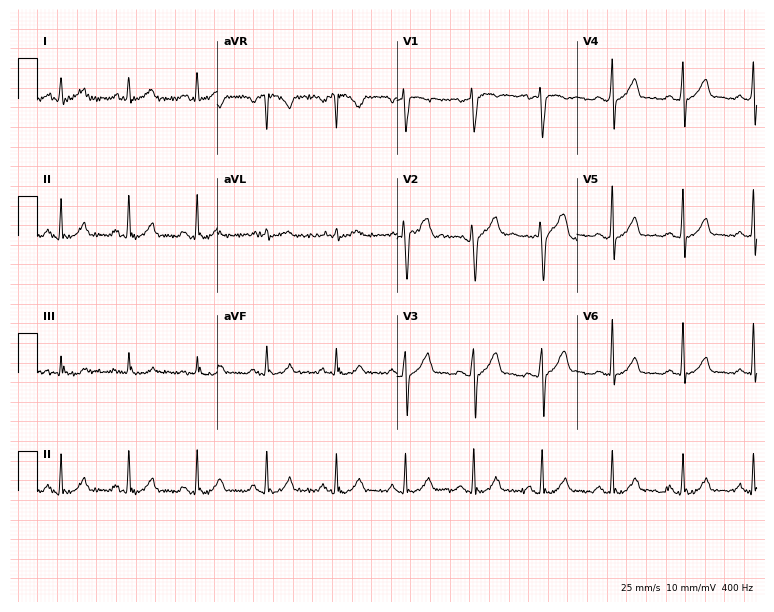
Electrocardiogram (7.3-second recording at 400 Hz), a male, 36 years old. Overall reading on record: normal ECG.